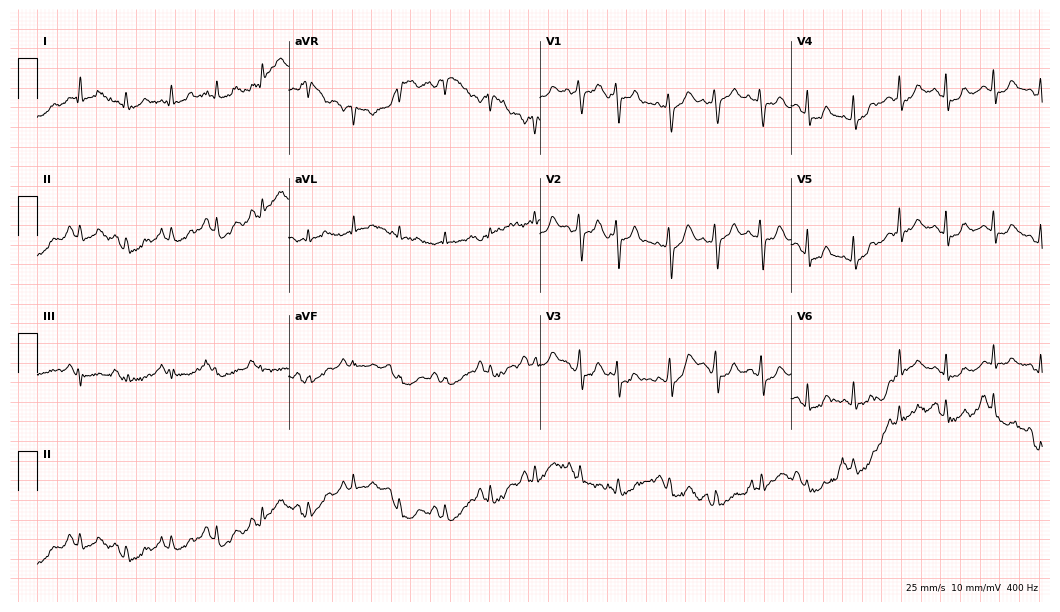
Electrocardiogram, a female, 22 years old. Of the six screened findings (first-degree AV block, right bundle branch block, left bundle branch block, sinus bradycardia, atrial fibrillation, sinus tachycardia), none is recorded.